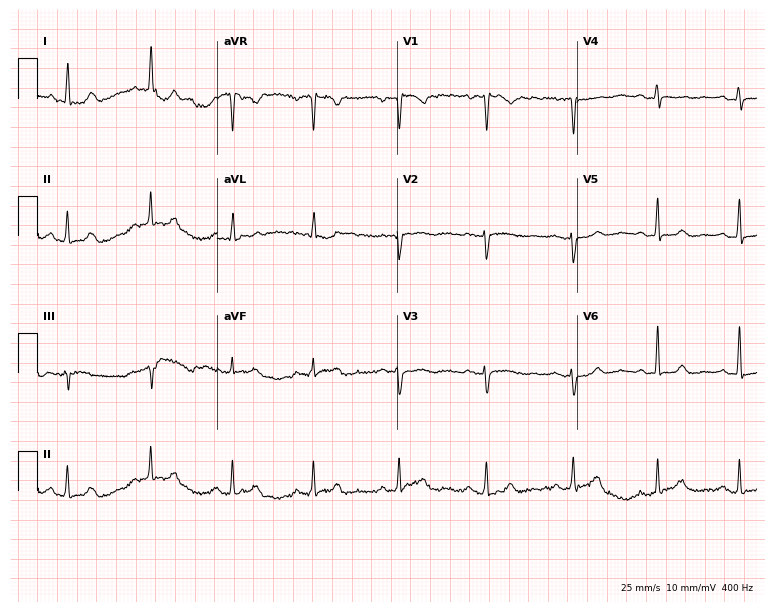
ECG — a female patient, 44 years old. Screened for six findings — first-degree AV block, right bundle branch block (RBBB), left bundle branch block (LBBB), sinus bradycardia, atrial fibrillation (AF), sinus tachycardia — none is recorded. Other findings, if any, are not listed.